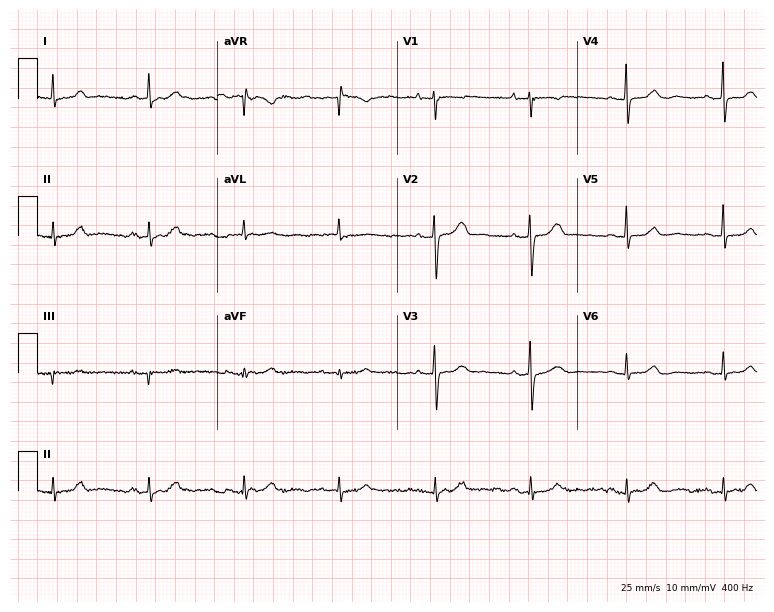
12-lead ECG from a female patient, 74 years old (7.3-second recording at 400 Hz). No first-degree AV block, right bundle branch block, left bundle branch block, sinus bradycardia, atrial fibrillation or sinus tachycardia recorded for this tracing.